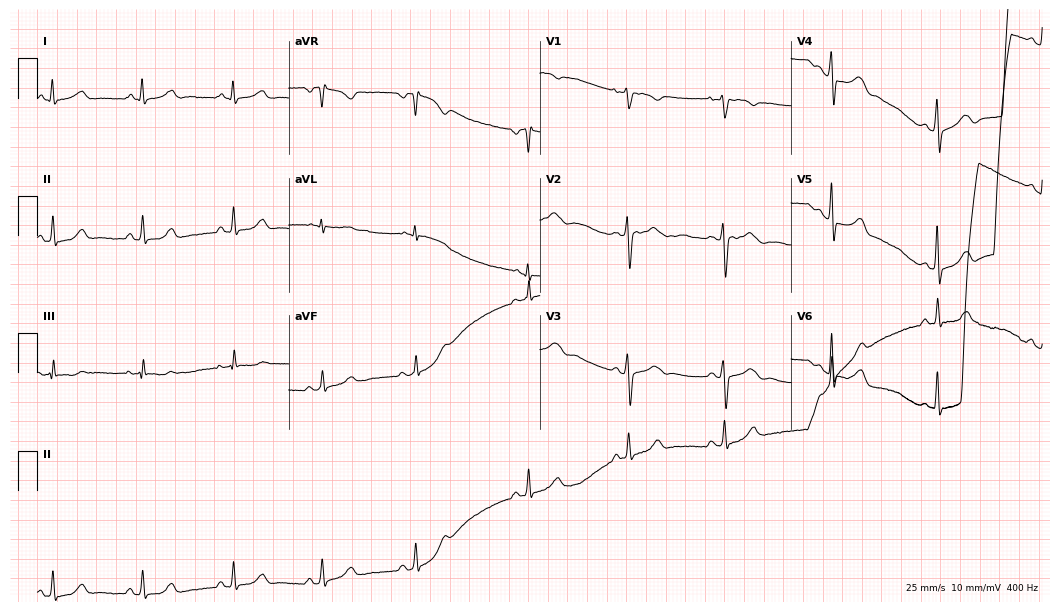
12-lead ECG from a female, 26 years old. Labelled as a normal ECG.